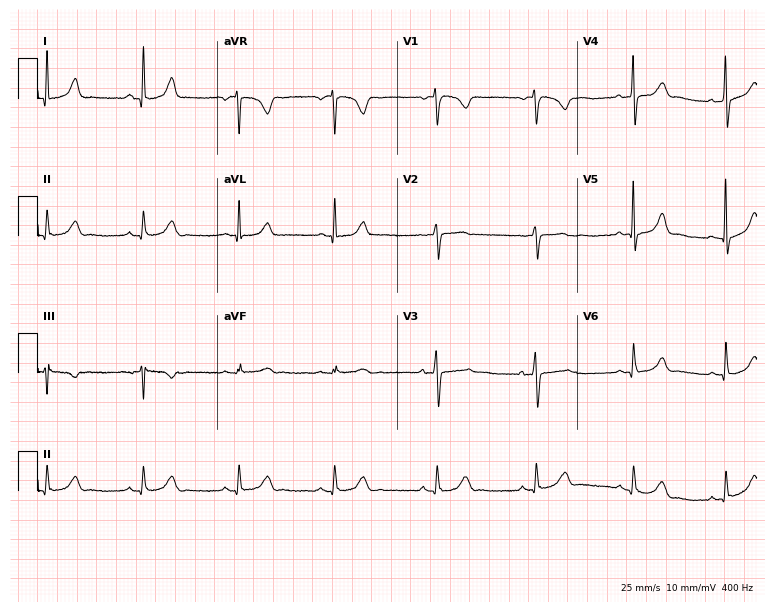
Resting 12-lead electrocardiogram (7.3-second recording at 400 Hz). Patient: a female, 45 years old. Read as a normal ECG.